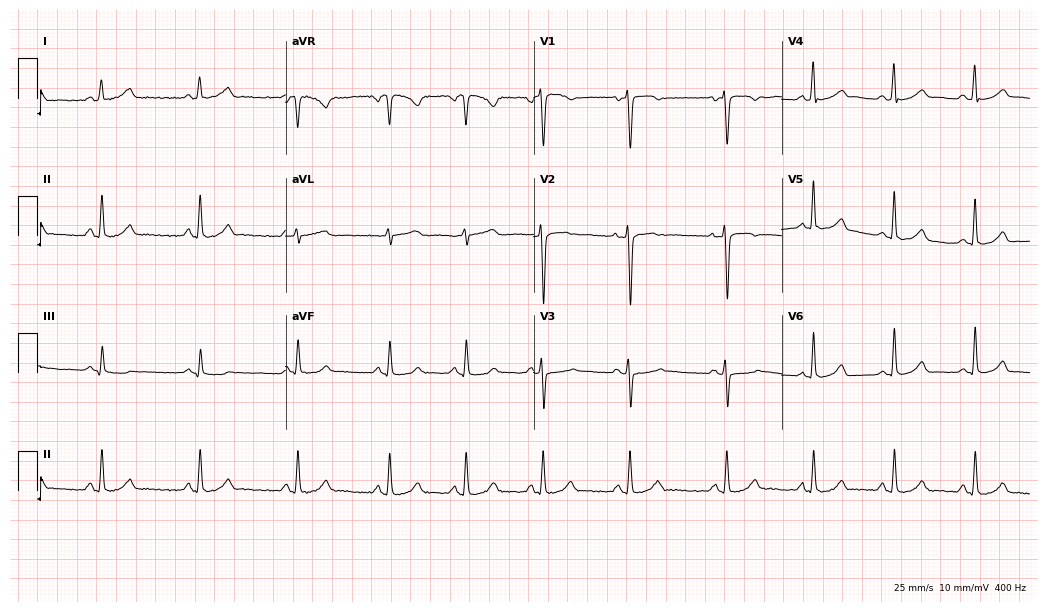
Electrocardiogram (10.1-second recording at 400 Hz), a 23-year-old woman. Overall reading on record: normal ECG.